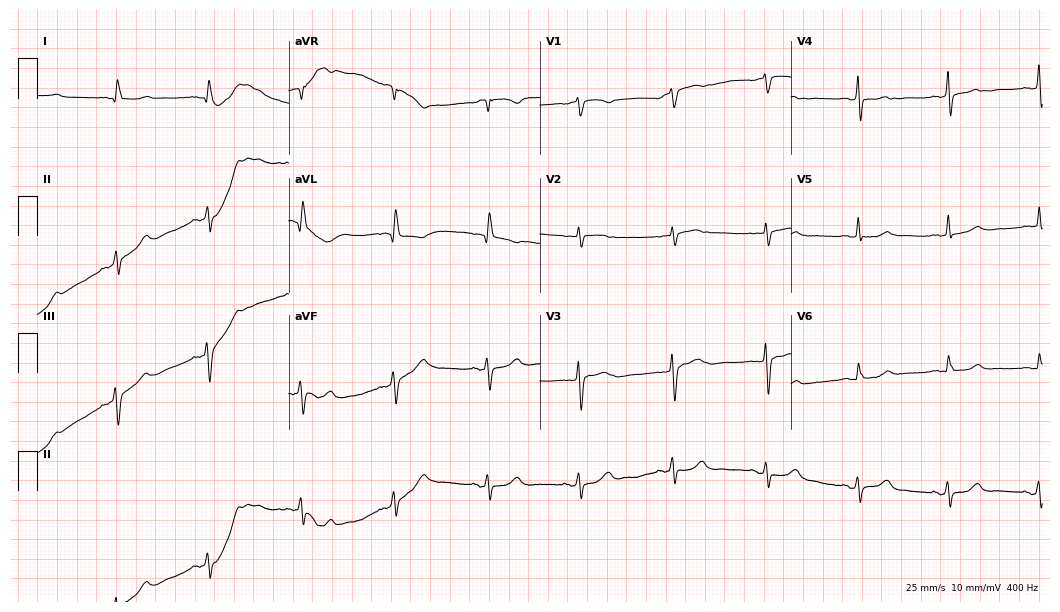
Standard 12-lead ECG recorded from a 64-year-old female patient. Read as a normal ECG.